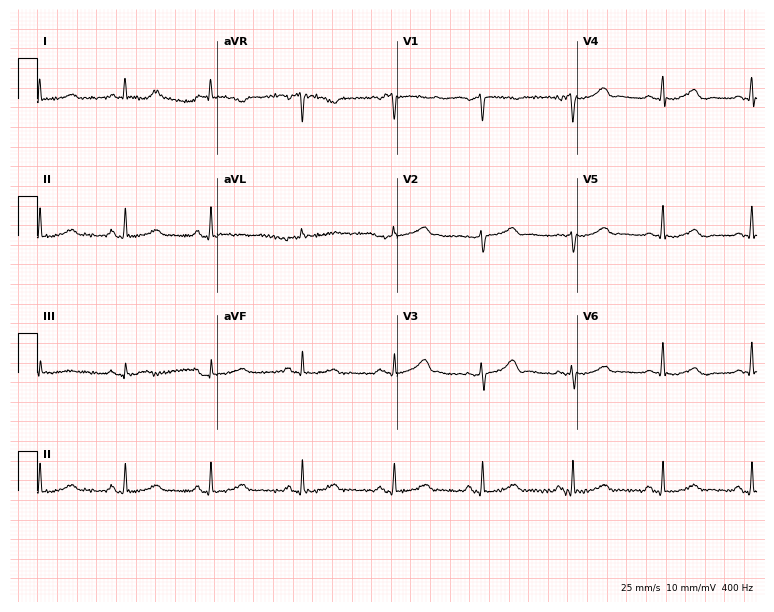
Resting 12-lead electrocardiogram. Patient: a woman, 62 years old. Read as a normal ECG.